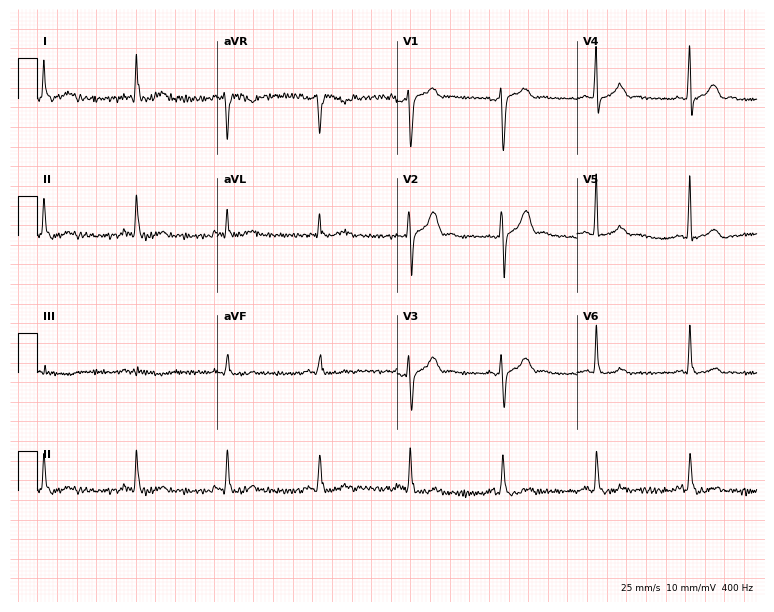
12-lead ECG from a male, 63 years old. Labelled as a normal ECG.